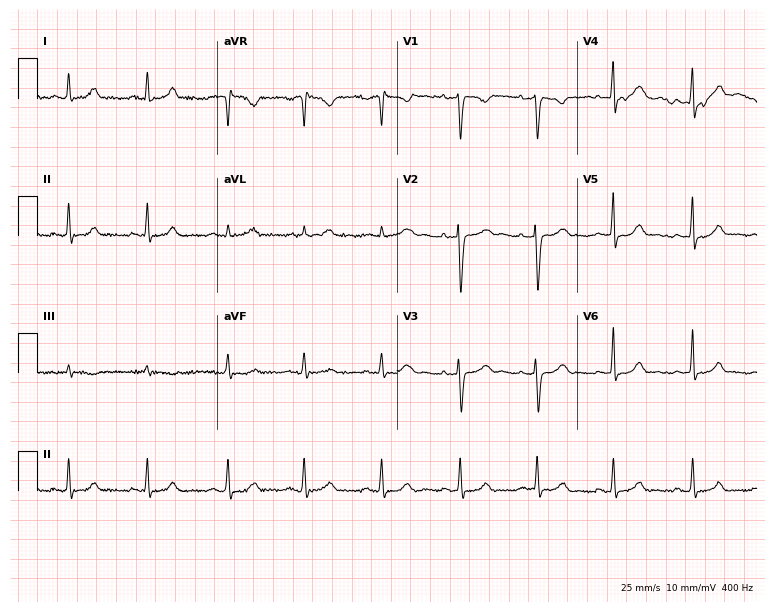
Standard 12-lead ECG recorded from a 26-year-old female patient (7.3-second recording at 400 Hz). None of these six findings is recorded: first-degree AV block, right bundle branch block, left bundle branch block, sinus bradycardia, atrial fibrillation, sinus tachycardia.